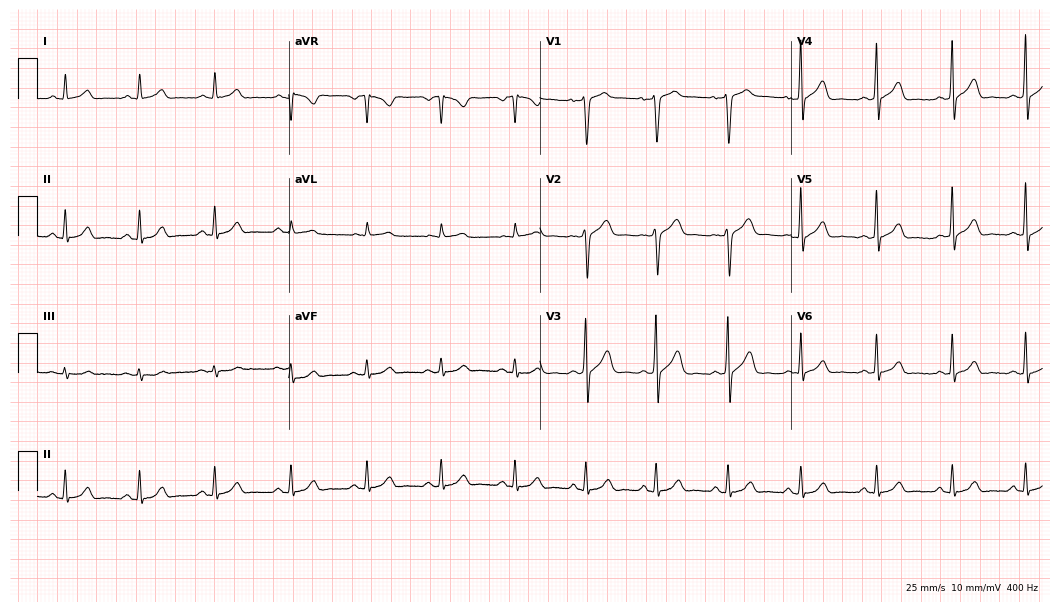
12-lead ECG from a man, 51 years old (10.2-second recording at 400 Hz). No first-degree AV block, right bundle branch block (RBBB), left bundle branch block (LBBB), sinus bradycardia, atrial fibrillation (AF) or sinus tachycardia recorded for this tracing.